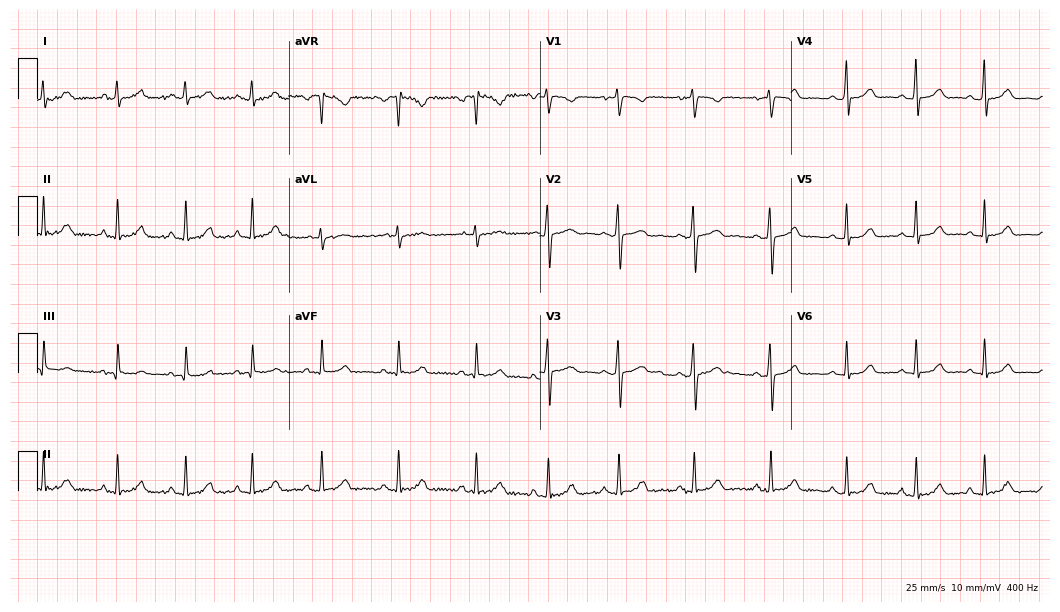
Resting 12-lead electrocardiogram. Patient: a woman, 20 years old. Read as a normal ECG.